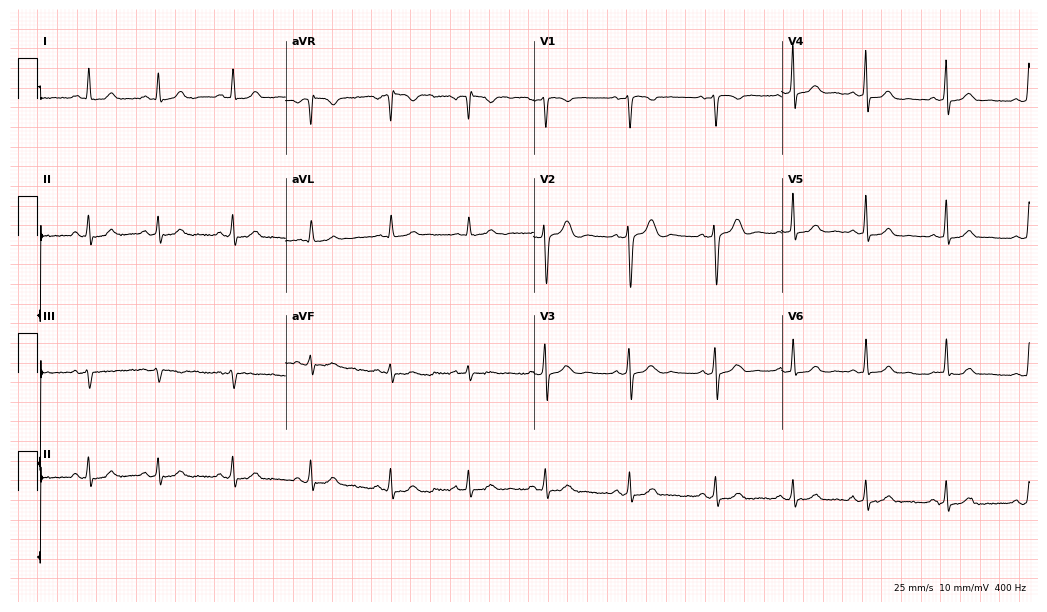
Electrocardiogram (10.1-second recording at 400 Hz), a 29-year-old female patient. Overall reading on record: normal ECG.